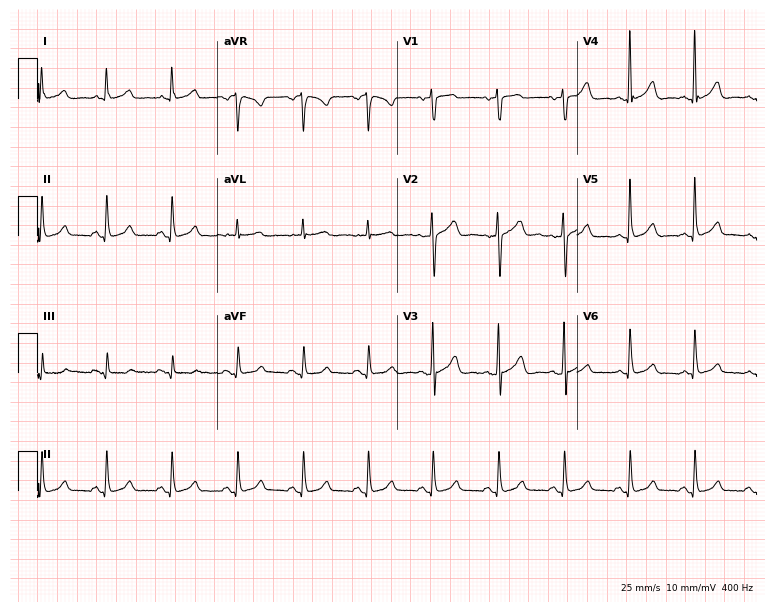
12-lead ECG from a female, 66 years old. Screened for six findings — first-degree AV block, right bundle branch block, left bundle branch block, sinus bradycardia, atrial fibrillation, sinus tachycardia — none is recorded. Other findings, if any, are not listed.